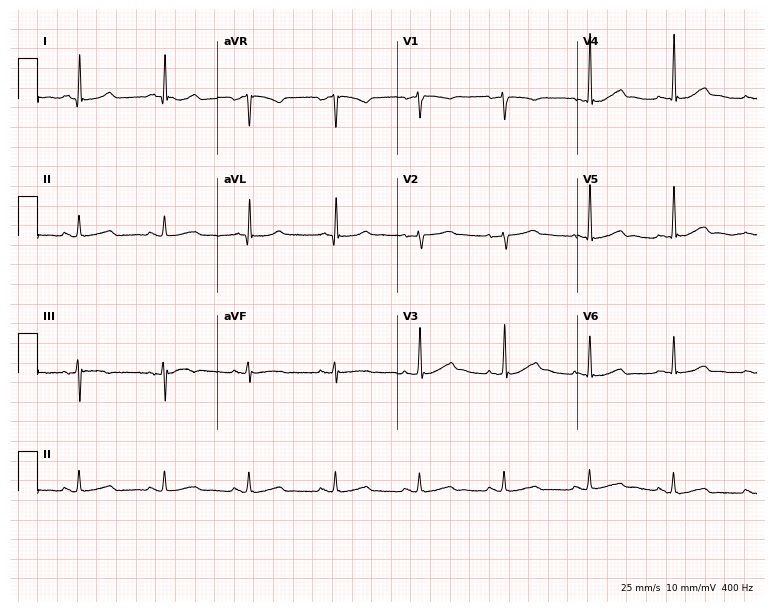
Resting 12-lead electrocardiogram (7.3-second recording at 400 Hz). Patient: a female, 44 years old. Read as a normal ECG.